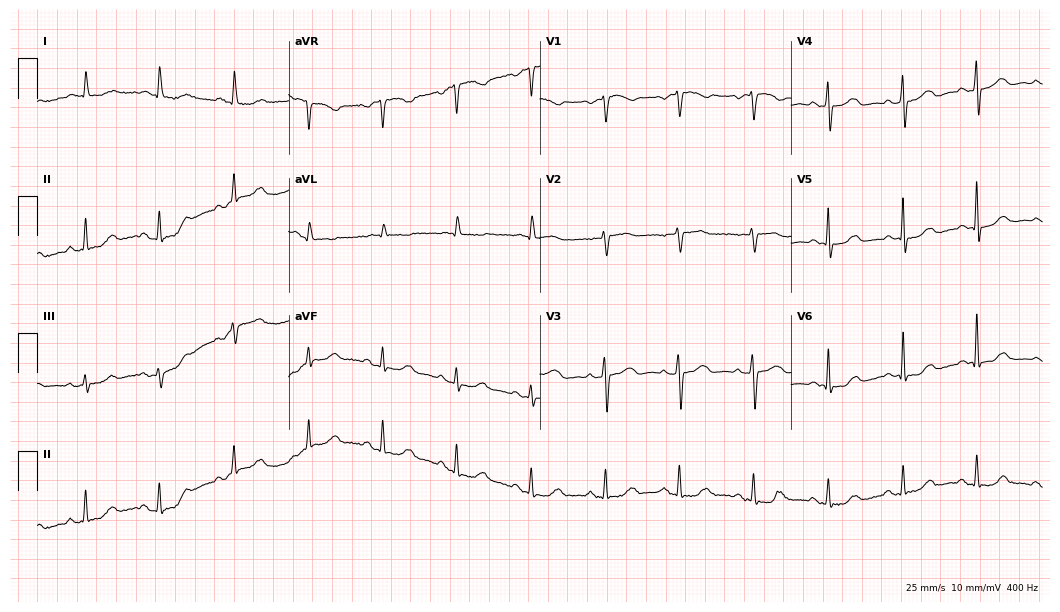
ECG (10.2-second recording at 400 Hz) — a 78-year-old female patient. Screened for six findings — first-degree AV block, right bundle branch block, left bundle branch block, sinus bradycardia, atrial fibrillation, sinus tachycardia — none is recorded. Findings outside these six are not listed.